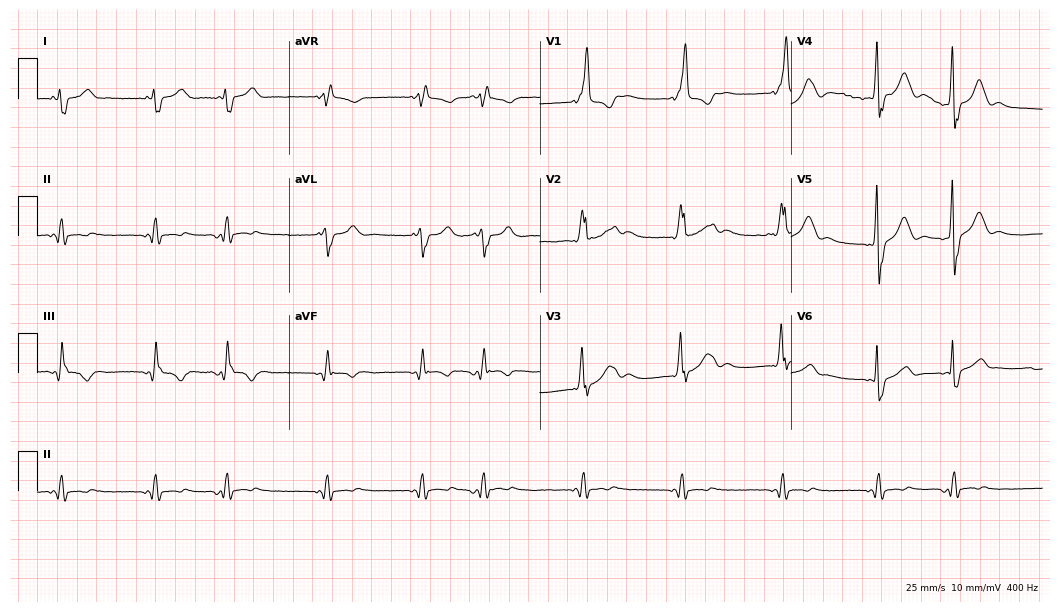
12-lead ECG from a 72-year-old man. Screened for six findings — first-degree AV block, right bundle branch block (RBBB), left bundle branch block (LBBB), sinus bradycardia, atrial fibrillation (AF), sinus tachycardia — none is recorded.